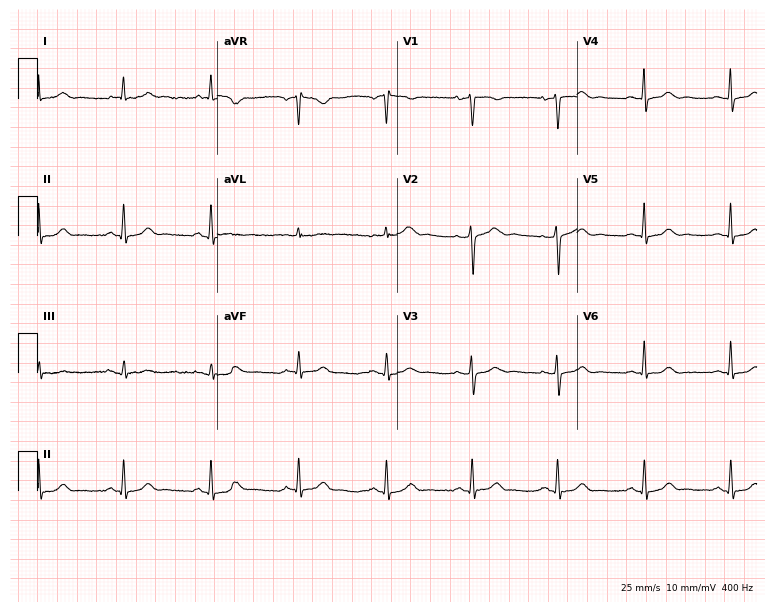
12-lead ECG from a 49-year-old female. Recorded interpretation: within normal limits.